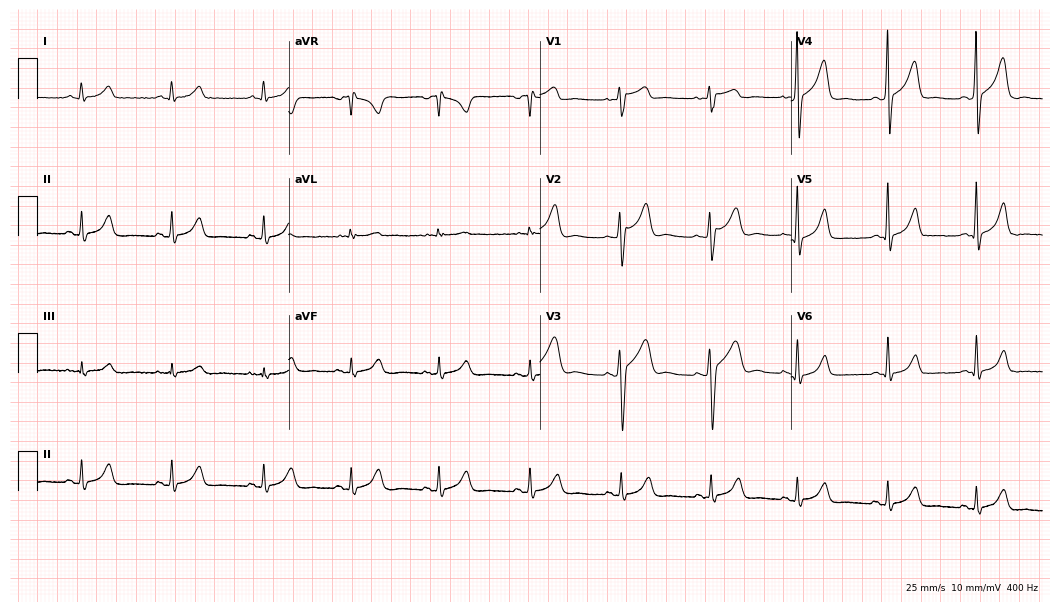
Resting 12-lead electrocardiogram (10.2-second recording at 400 Hz). Patient: a 38-year-old man. None of these six findings is recorded: first-degree AV block, right bundle branch block, left bundle branch block, sinus bradycardia, atrial fibrillation, sinus tachycardia.